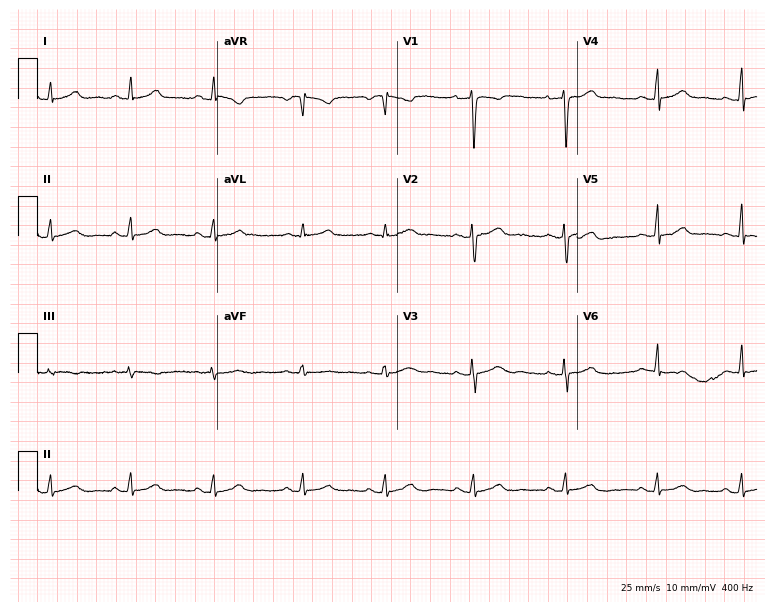
12-lead ECG from a female patient, 34 years old. Labelled as a normal ECG.